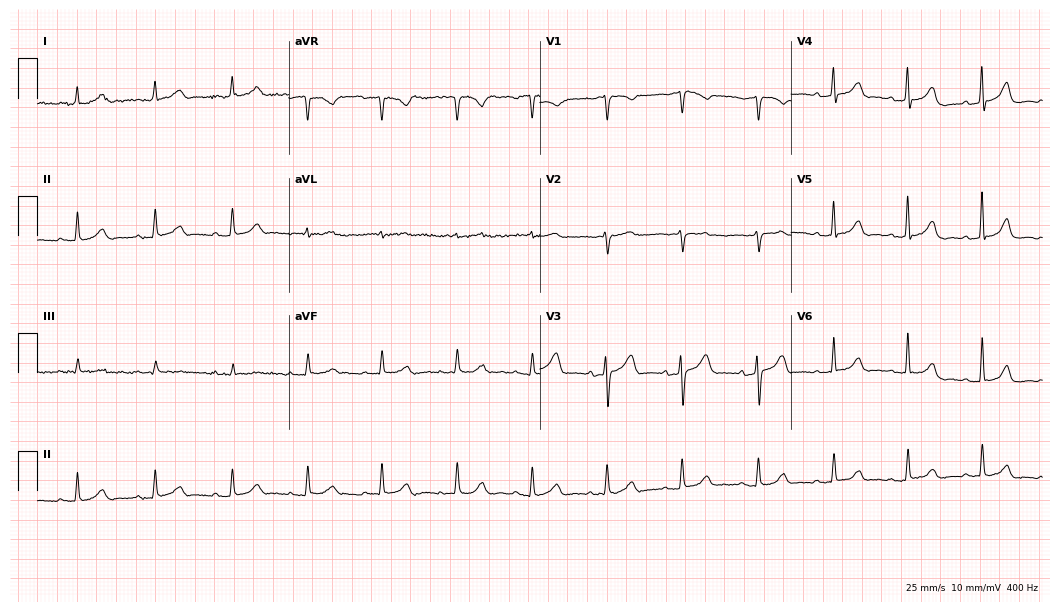
Electrocardiogram (10.2-second recording at 400 Hz), a woman, 81 years old. Overall reading on record: normal ECG.